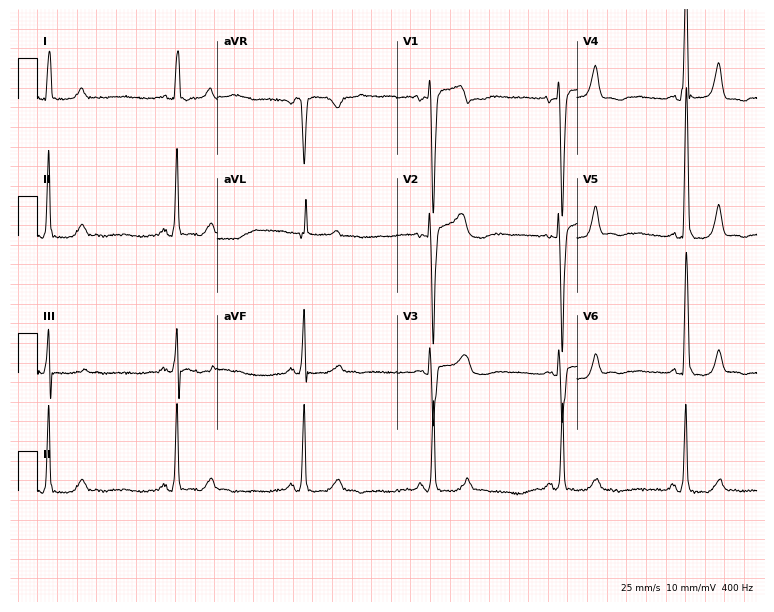
Electrocardiogram, a female patient, 77 years old. Interpretation includes sinus bradycardia (a sinus rate of 50 beats per minute or less).